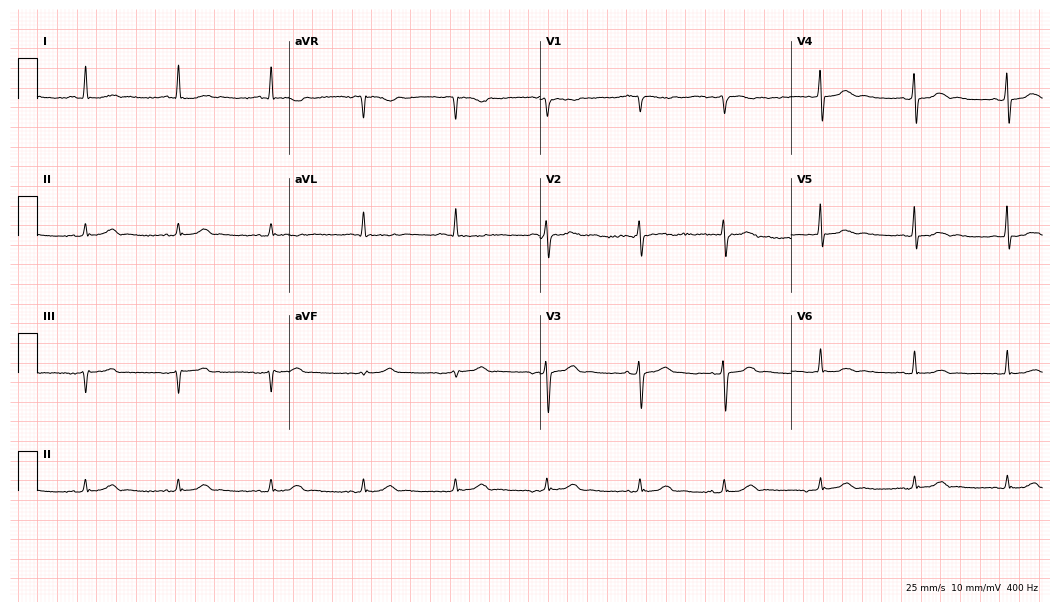
Resting 12-lead electrocardiogram (10.2-second recording at 400 Hz). Patient: a 71-year-old female. None of these six findings is recorded: first-degree AV block, right bundle branch block, left bundle branch block, sinus bradycardia, atrial fibrillation, sinus tachycardia. Only these six findings were labelled.